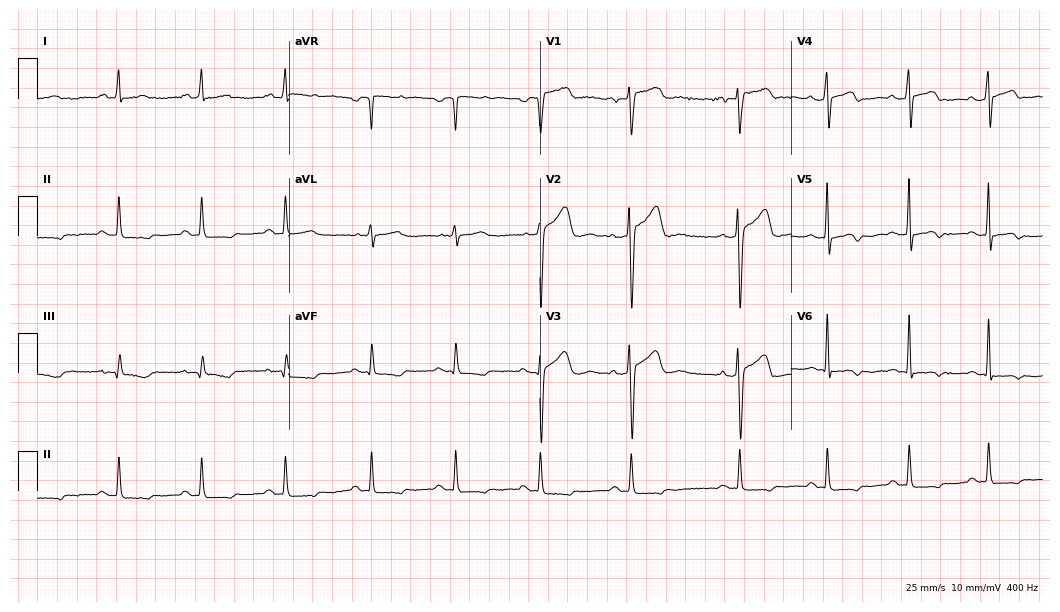
12-lead ECG from a 46-year-old man. No first-degree AV block, right bundle branch block (RBBB), left bundle branch block (LBBB), sinus bradycardia, atrial fibrillation (AF) or sinus tachycardia recorded for this tracing.